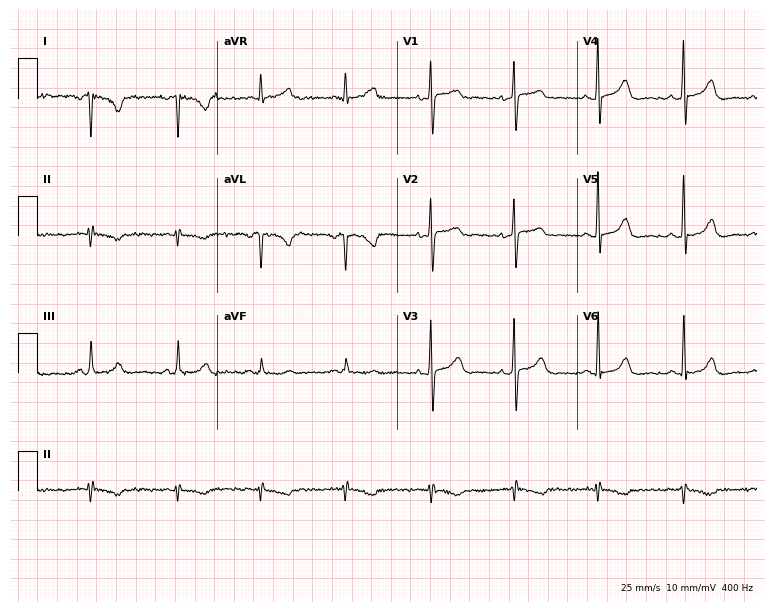
ECG — a female, 52 years old. Screened for six findings — first-degree AV block, right bundle branch block, left bundle branch block, sinus bradycardia, atrial fibrillation, sinus tachycardia — none is recorded. Only these six findings were labelled.